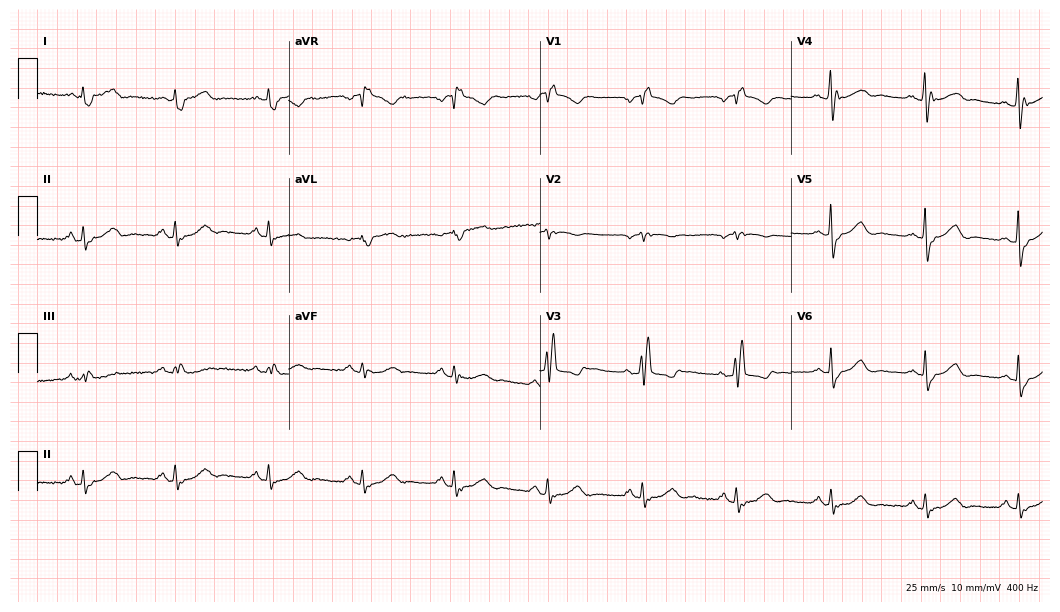
Electrocardiogram, an 80-year-old female patient. Interpretation includes right bundle branch block (RBBB).